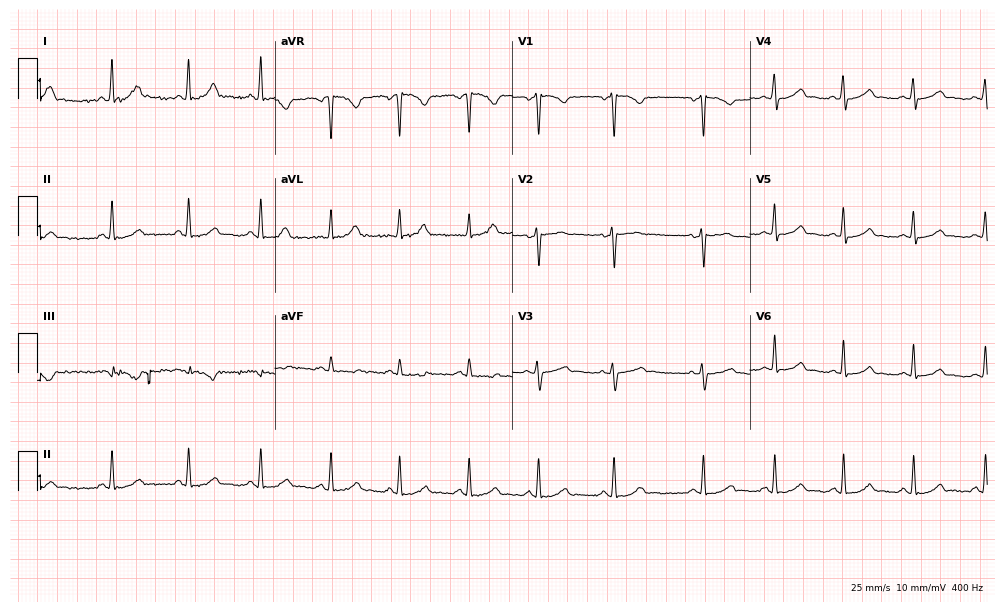
Electrocardiogram (9.7-second recording at 400 Hz), a 33-year-old female patient. Overall reading on record: normal ECG.